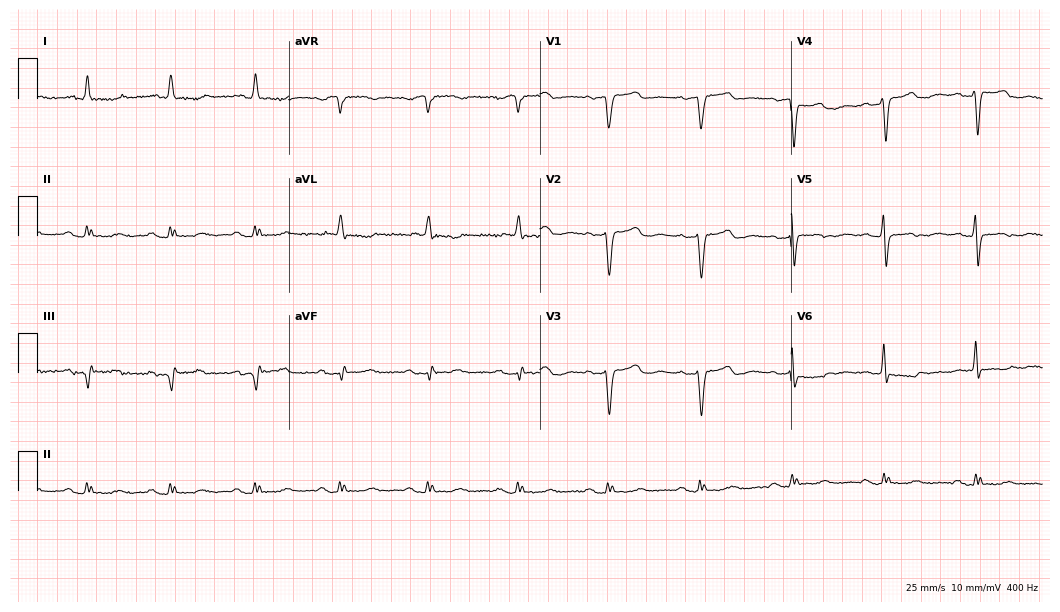
Electrocardiogram, a woman, 77 years old. Of the six screened findings (first-degree AV block, right bundle branch block, left bundle branch block, sinus bradycardia, atrial fibrillation, sinus tachycardia), none is recorded. Findings outside these six are not listed.